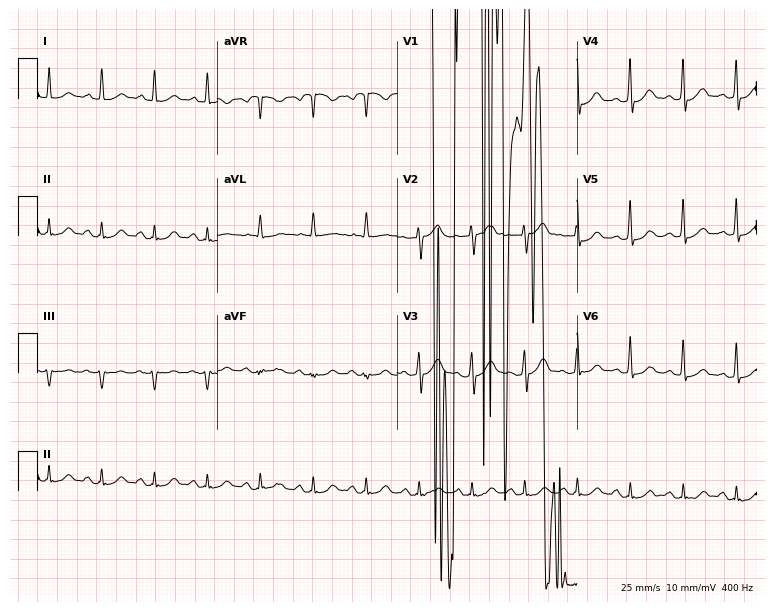
12-lead ECG from a man, 55 years old. Screened for six findings — first-degree AV block, right bundle branch block, left bundle branch block, sinus bradycardia, atrial fibrillation, sinus tachycardia — none is recorded.